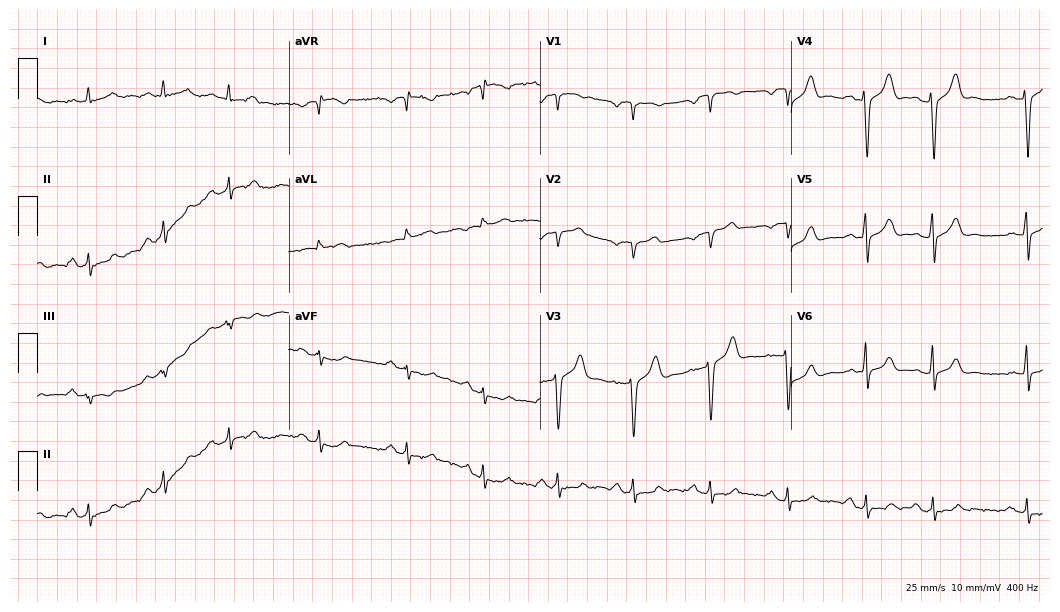
Electrocardiogram, a 62-year-old man. Of the six screened findings (first-degree AV block, right bundle branch block, left bundle branch block, sinus bradycardia, atrial fibrillation, sinus tachycardia), none is recorded.